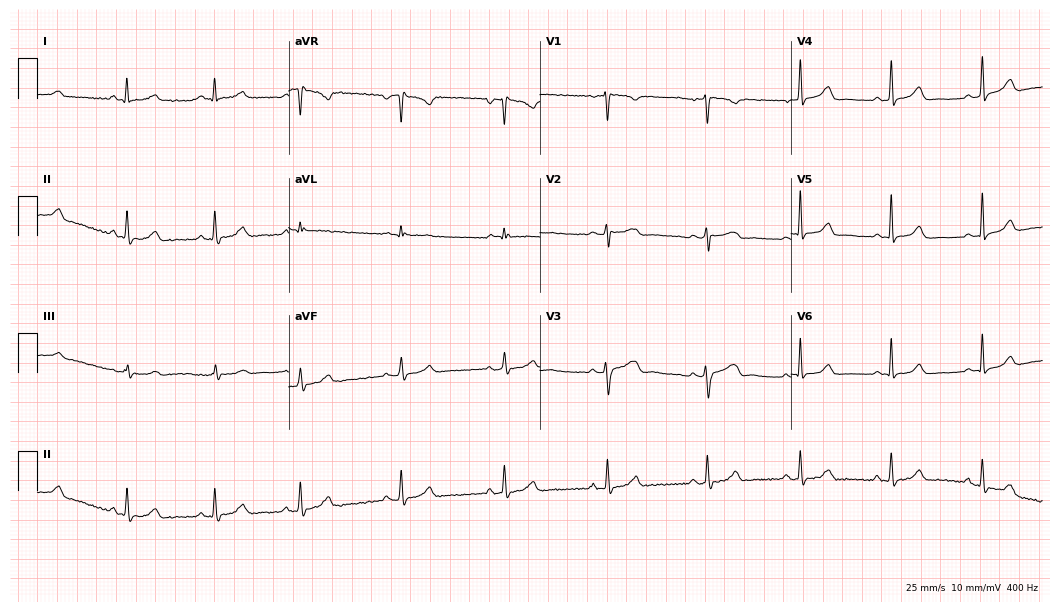
Standard 12-lead ECG recorded from a woman, 29 years old (10.2-second recording at 400 Hz). Read as a normal ECG.